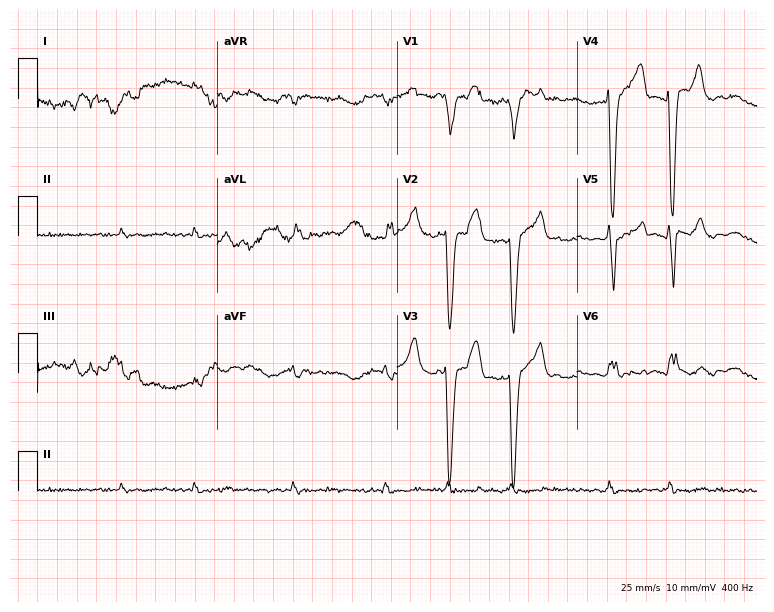
Electrocardiogram (7.3-second recording at 400 Hz), a male patient, 78 years old. Of the six screened findings (first-degree AV block, right bundle branch block (RBBB), left bundle branch block (LBBB), sinus bradycardia, atrial fibrillation (AF), sinus tachycardia), none is recorded. Only these six findings were labelled.